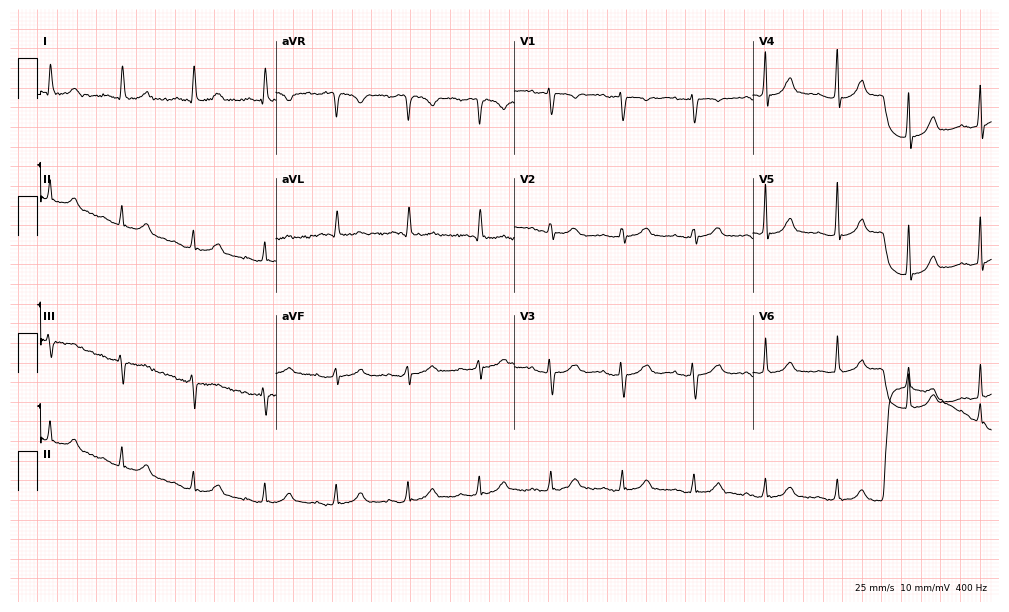
Electrocardiogram (9.7-second recording at 400 Hz), a female patient, 78 years old. Overall reading on record: normal ECG.